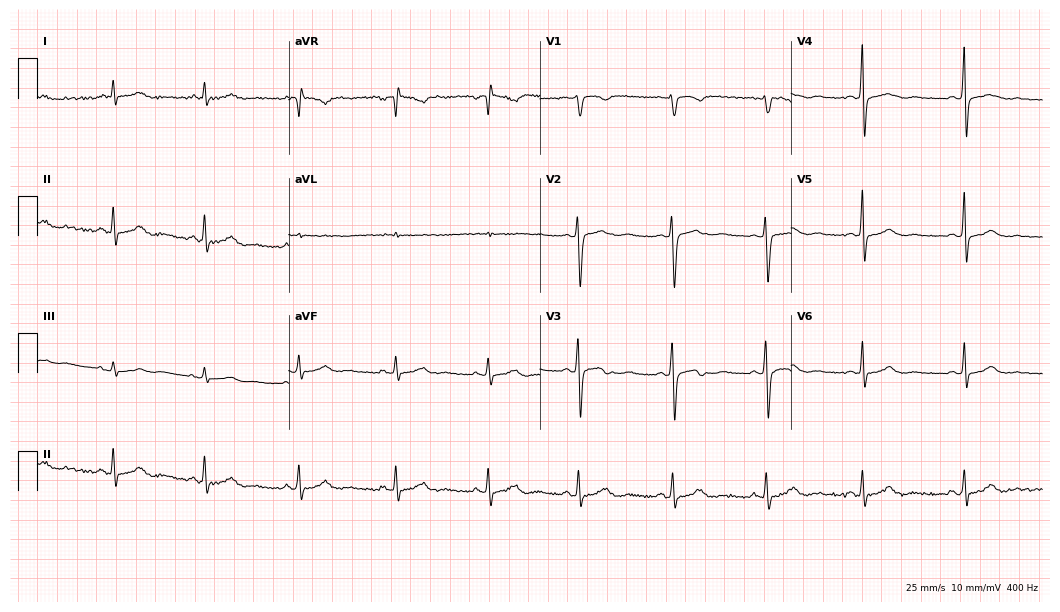
Electrocardiogram (10.2-second recording at 400 Hz), a 35-year-old woman. Overall reading on record: normal ECG.